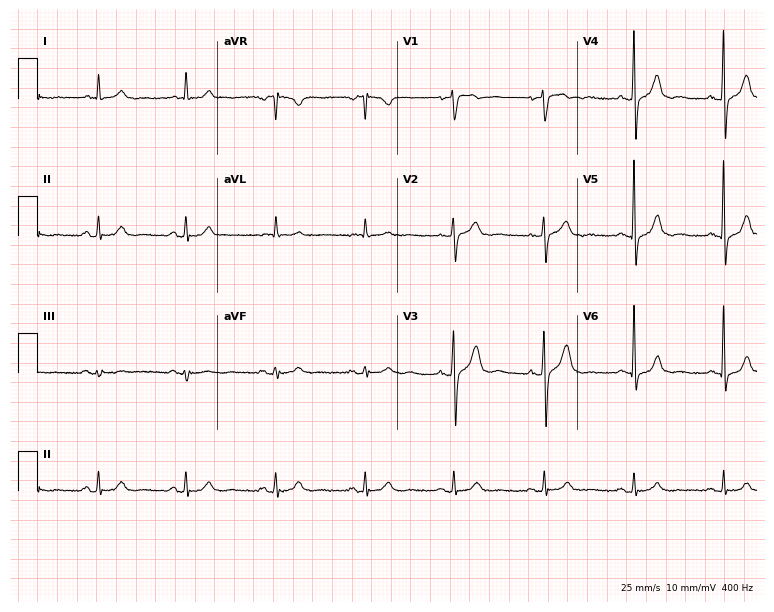
ECG — a male, 80 years old. Labelled as a normal ECG.